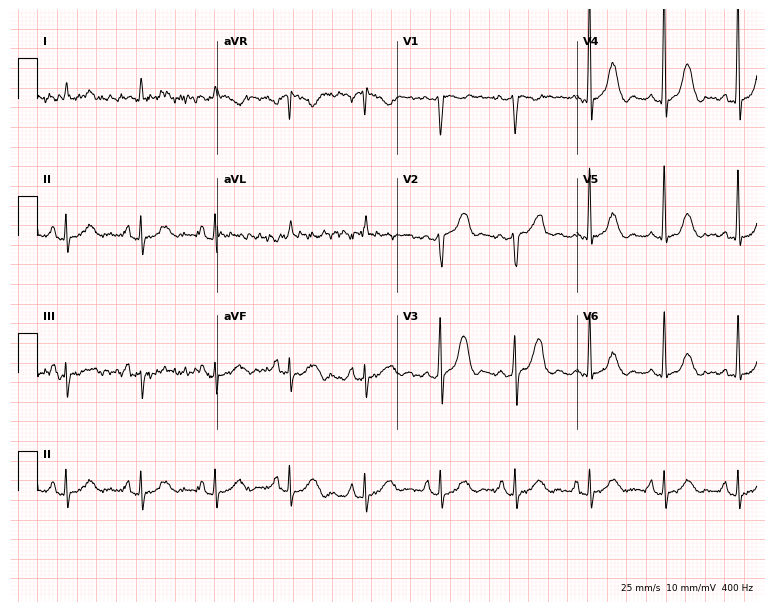
Resting 12-lead electrocardiogram. Patient: a 77-year-old woman. None of these six findings is recorded: first-degree AV block, right bundle branch block, left bundle branch block, sinus bradycardia, atrial fibrillation, sinus tachycardia. Other findings, if any, are not listed.